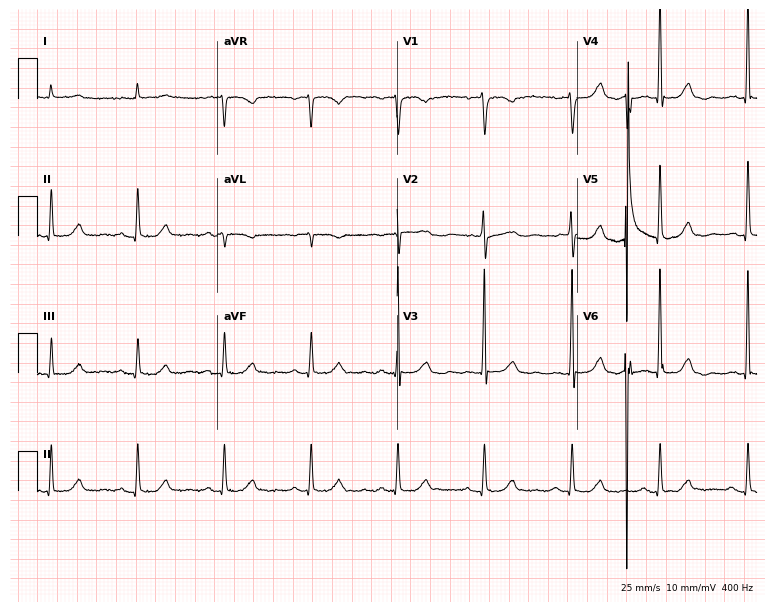
12-lead ECG from a female, 75 years old. No first-degree AV block, right bundle branch block, left bundle branch block, sinus bradycardia, atrial fibrillation or sinus tachycardia recorded for this tracing. Other findings, if any, are not listed.